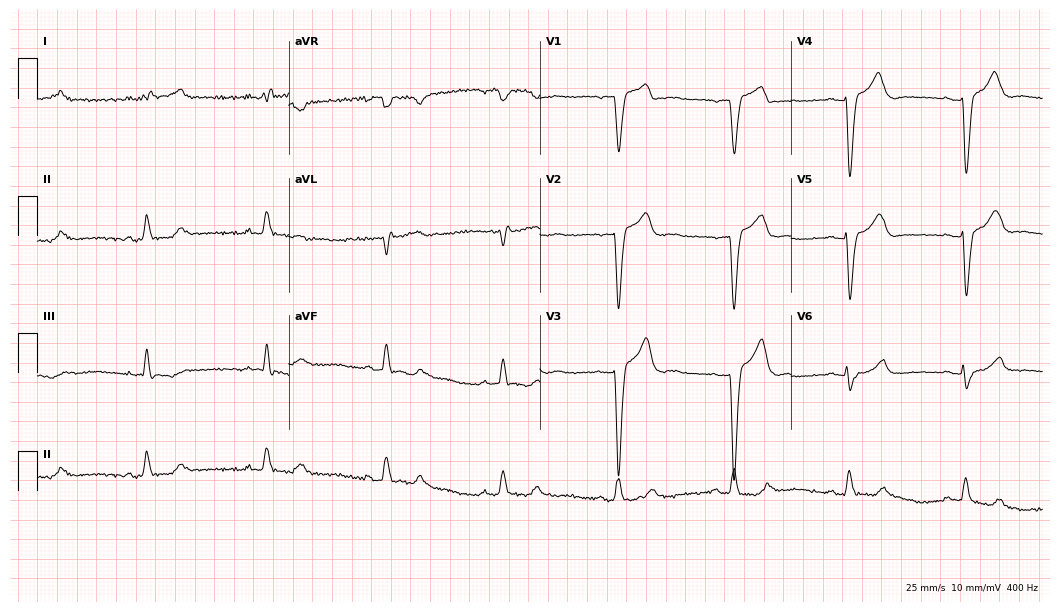
Electrocardiogram (10.2-second recording at 400 Hz), a male, 67 years old. Interpretation includes left bundle branch block (LBBB), sinus bradycardia (a sinus rate of 50 beats per minute or less).